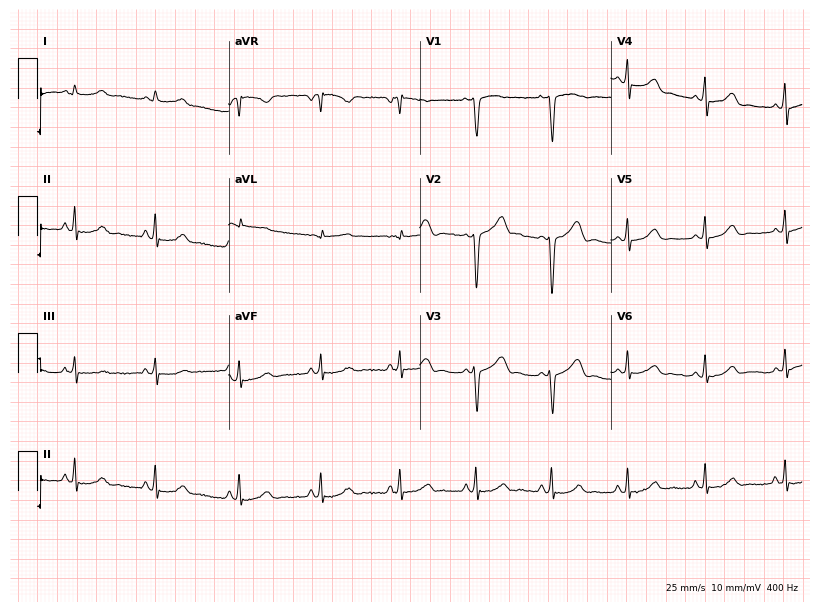
12-lead ECG from a female patient, 39 years old. Labelled as a normal ECG.